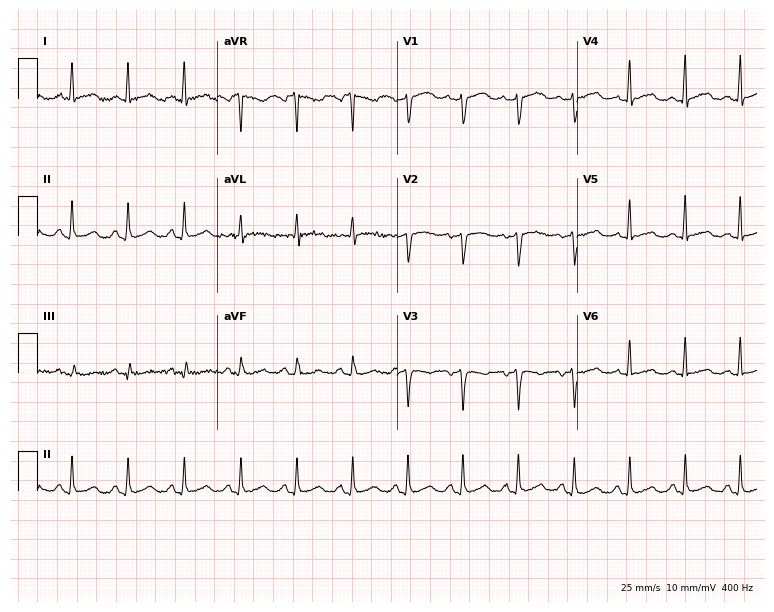
12-lead ECG from a woman, 45 years old. Screened for six findings — first-degree AV block, right bundle branch block, left bundle branch block, sinus bradycardia, atrial fibrillation, sinus tachycardia — none is recorded.